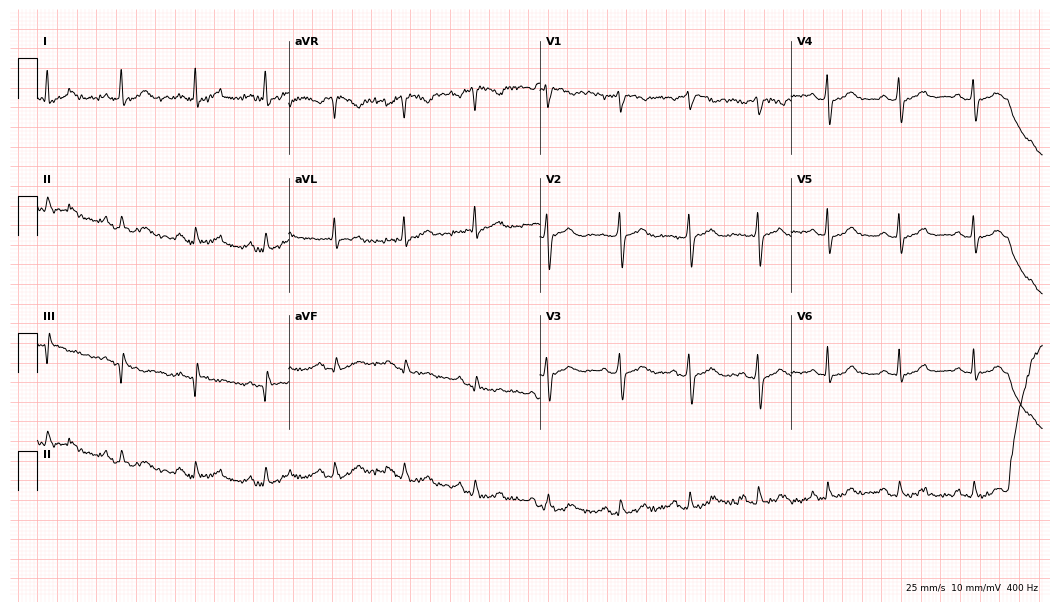
Standard 12-lead ECG recorded from a 54-year-old woman (10.2-second recording at 400 Hz). Read as a normal ECG.